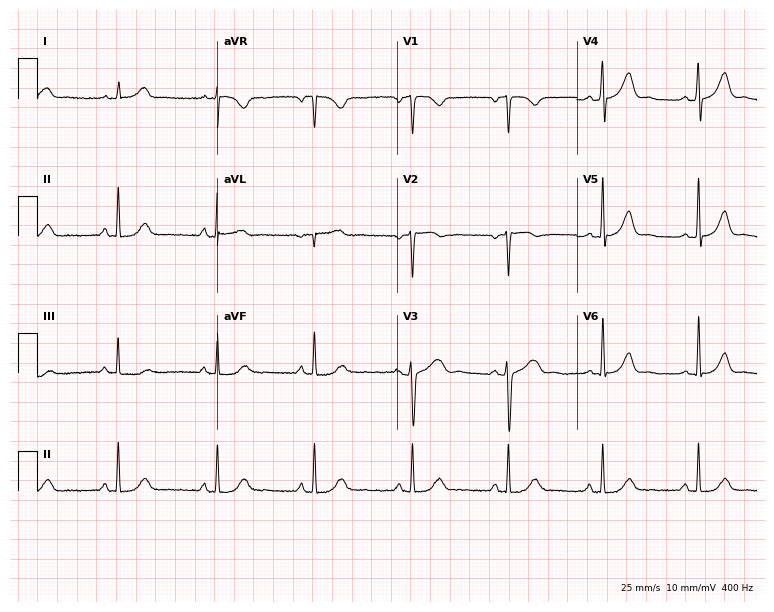
ECG — a female patient, 33 years old. Labelled as a normal ECG.